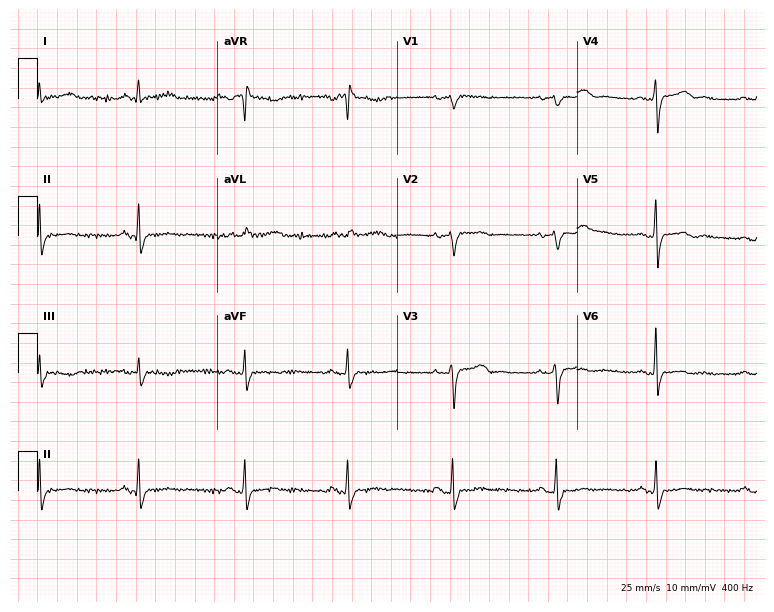
12-lead ECG from a 55-year-old female. No first-degree AV block, right bundle branch block, left bundle branch block, sinus bradycardia, atrial fibrillation or sinus tachycardia recorded for this tracing. Other findings, if any, are not listed.